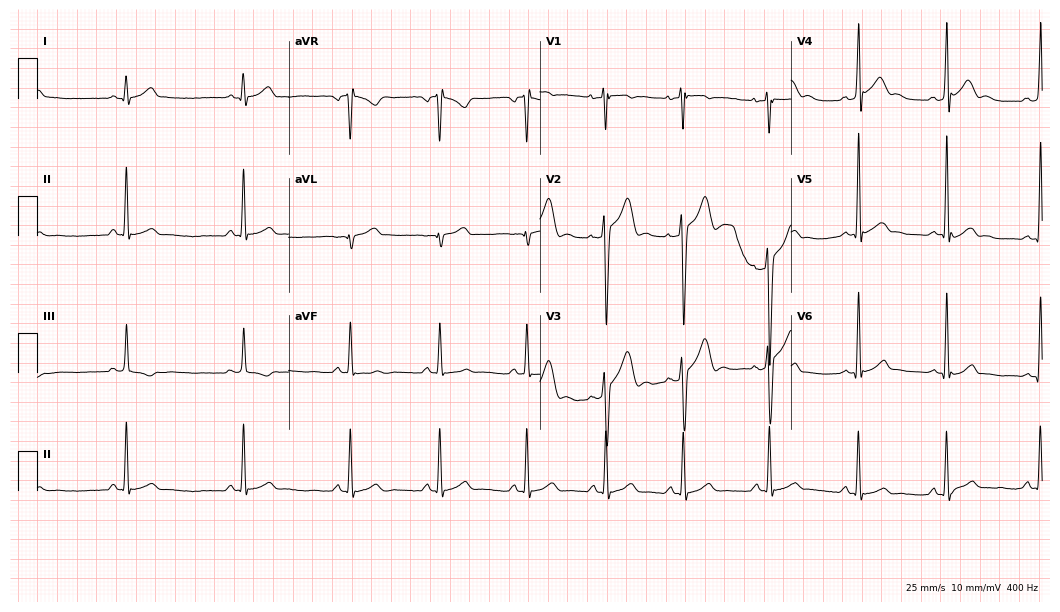
Electrocardiogram, a man, 26 years old. Overall reading on record: normal ECG.